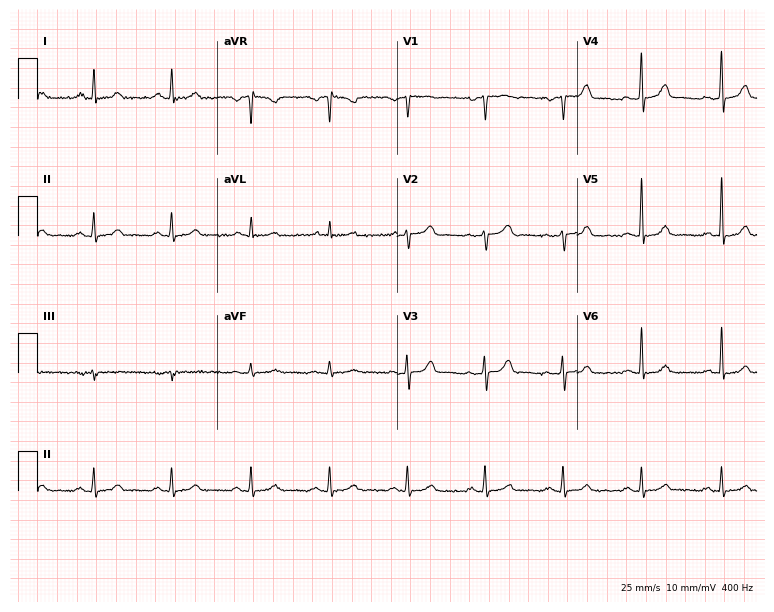
ECG (7.3-second recording at 400 Hz) — a 57-year-old male patient. Screened for six findings — first-degree AV block, right bundle branch block, left bundle branch block, sinus bradycardia, atrial fibrillation, sinus tachycardia — none is recorded.